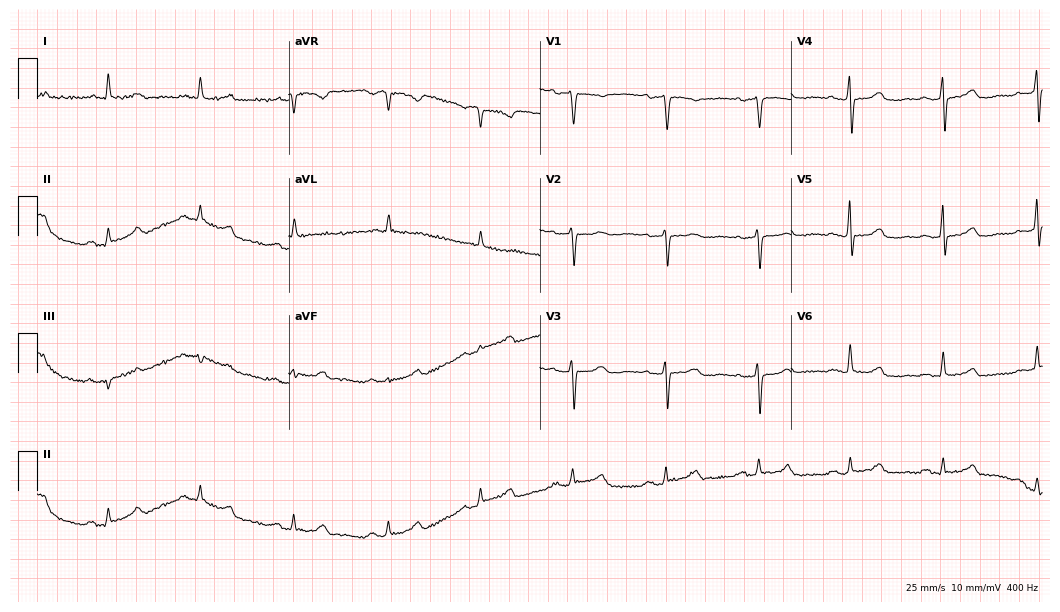
ECG (10.2-second recording at 400 Hz) — a woman, 72 years old. Labelled as a normal ECG.